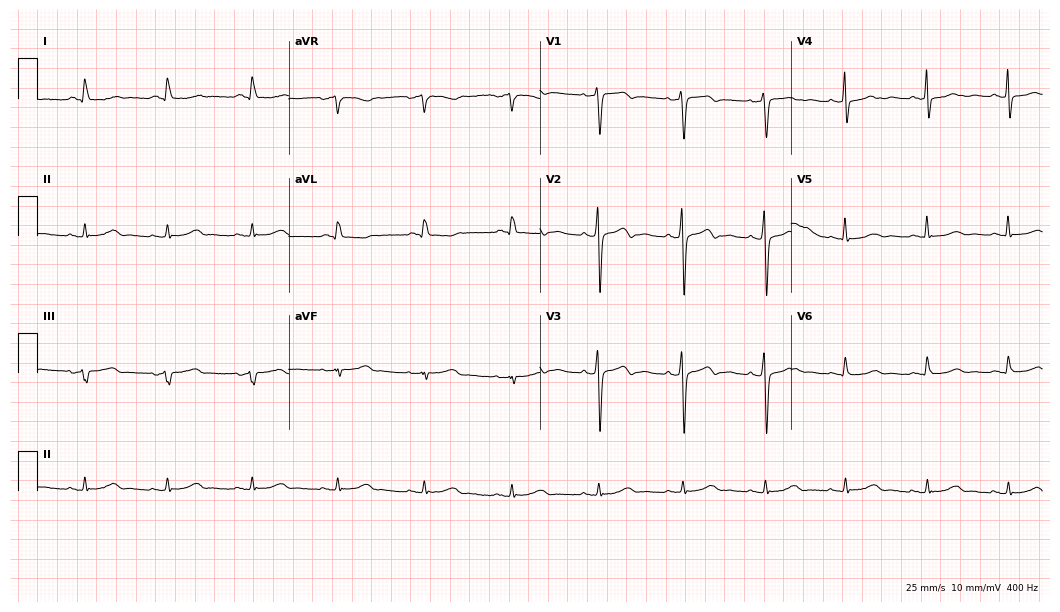
12-lead ECG from a female patient, 46 years old. Labelled as a normal ECG.